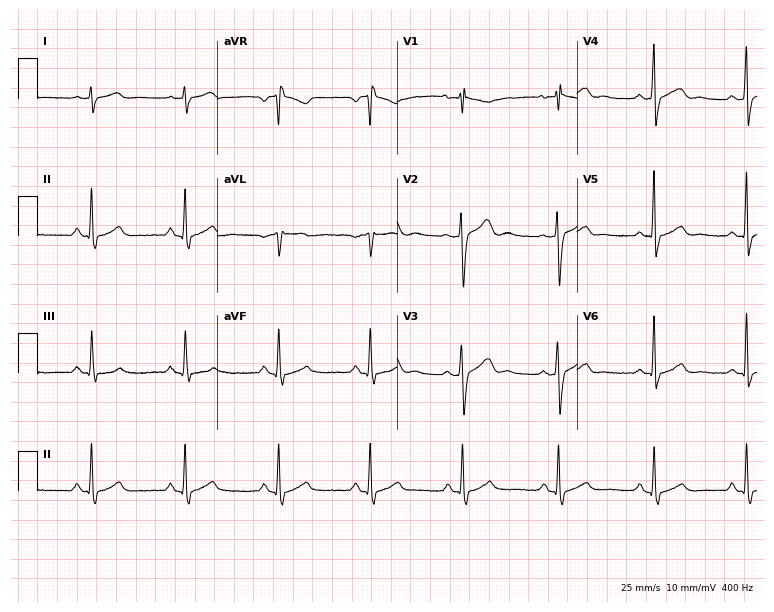
12-lead ECG from a man, 38 years old. Screened for six findings — first-degree AV block, right bundle branch block, left bundle branch block, sinus bradycardia, atrial fibrillation, sinus tachycardia — none is recorded.